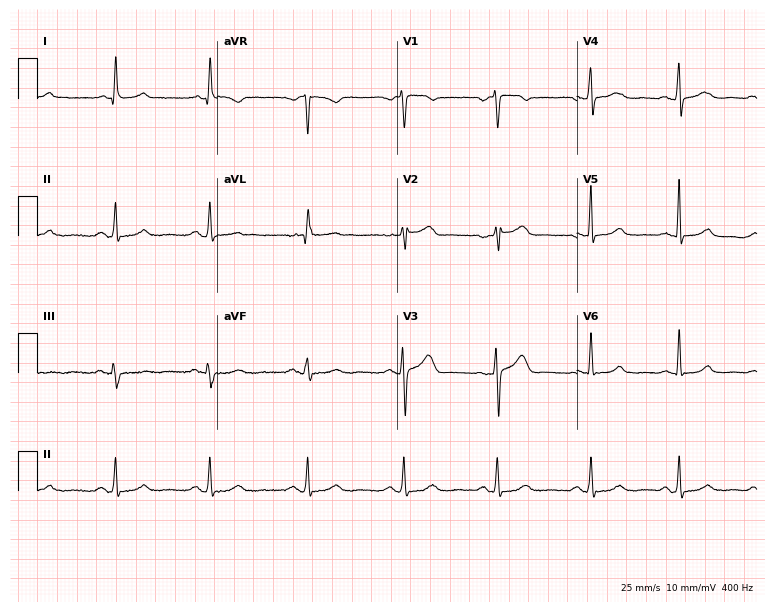
ECG (7.3-second recording at 400 Hz) — a 49-year-old female. Labelled as a normal ECG.